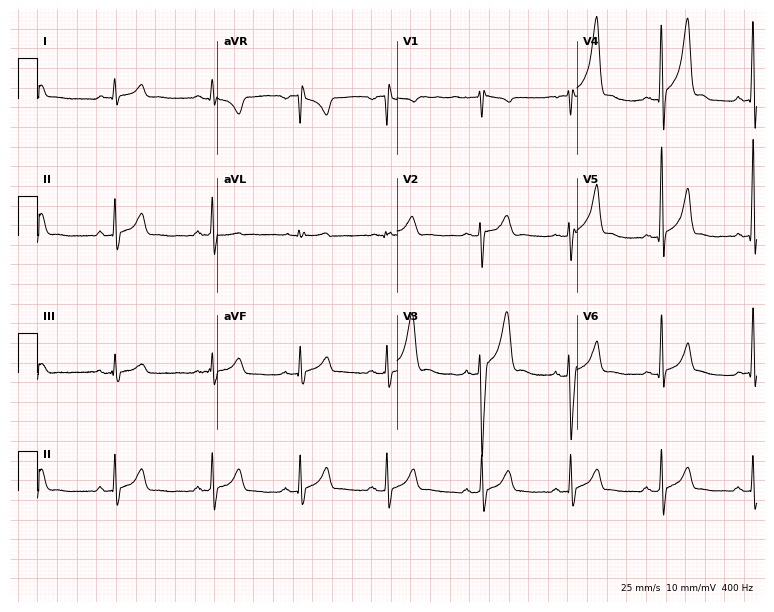
Resting 12-lead electrocardiogram (7.3-second recording at 400 Hz). Patient: a male, 18 years old. Read as a normal ECG.